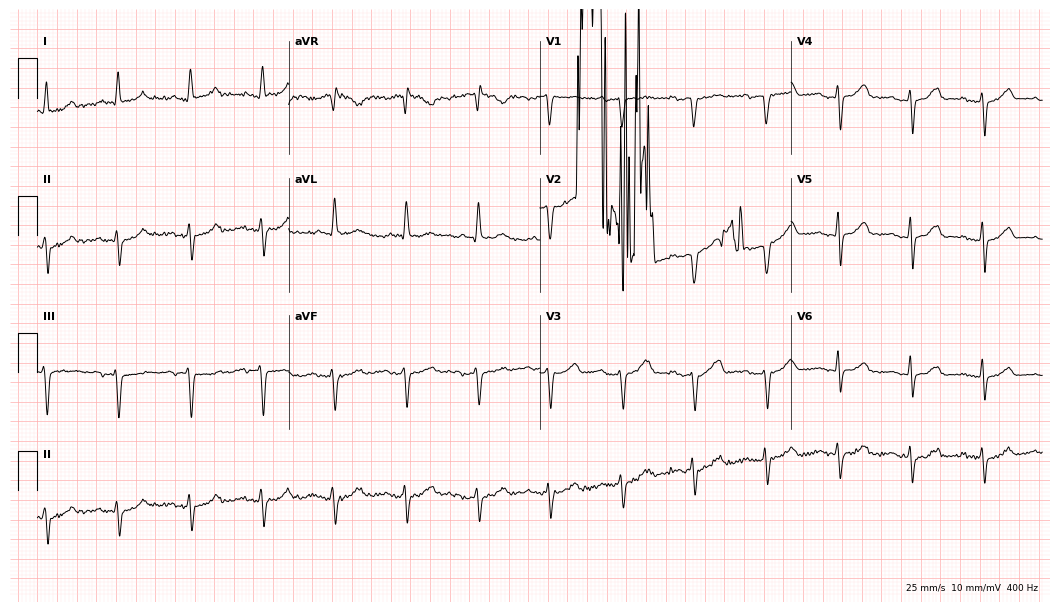
Electrocardiogram, a male, 81 years old. Of the six screened findings (first-degree AV block, right bundle branch block (RBBB), left bundle branch block (LBBB), sinus bradycardia, atrial fibrillation (AF), sinus tachycardia), none is recorded.